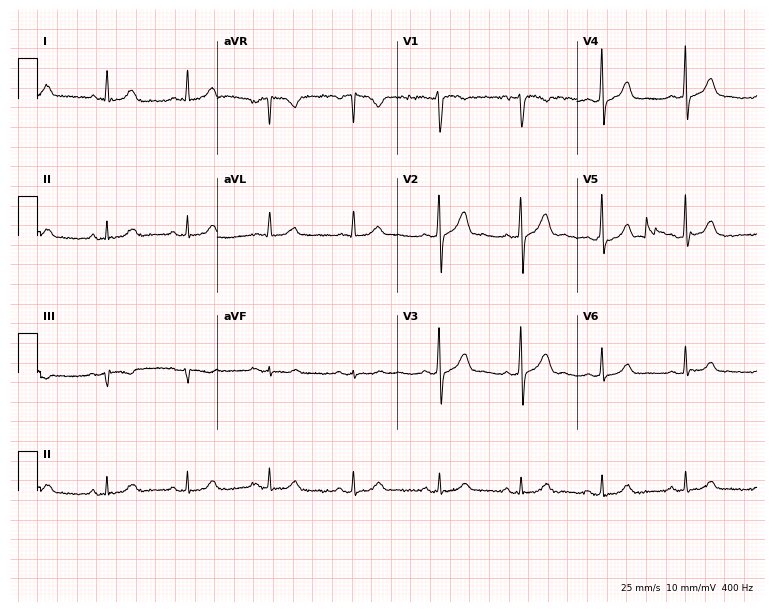
12-lead ECG from a 42-year-old female patient. Screened for six findings — first-degree AV block, right bundle branch block, left bundle branch block, sinus bradycardia, atrial fibrillation, sinus tachycardia — none is recorded.